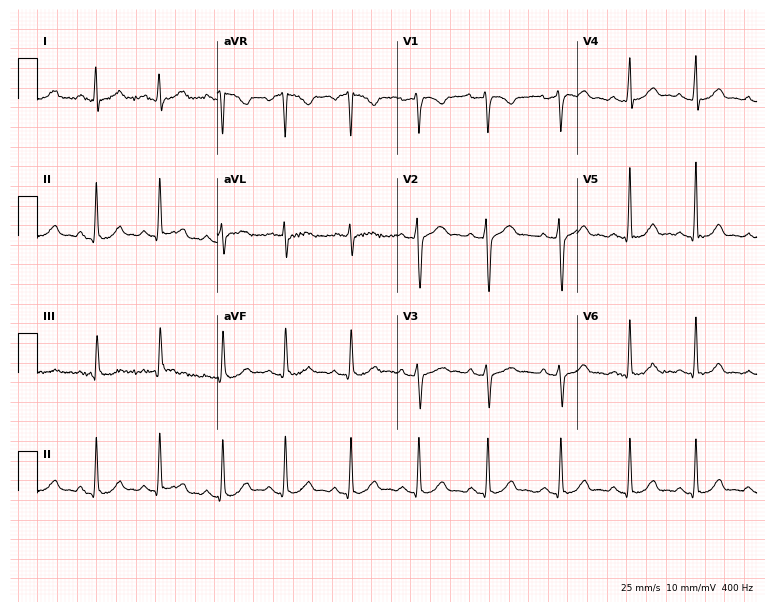
12-lead ECG (7.3-second recording at 400 Hz) from a 50-year-old male. Labelled as a normal ECG.